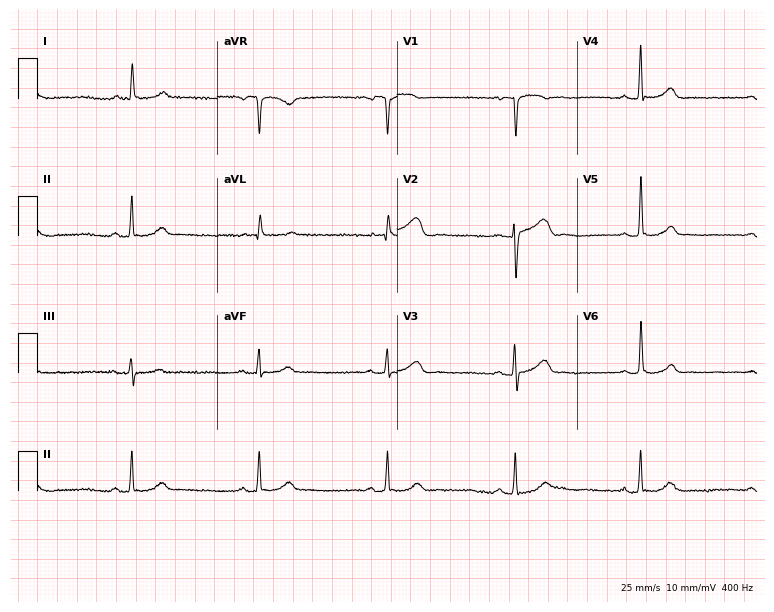
12-lead ECG from a man, 87 years old. Screened for six findings — first-degree AV block, right bundle branch block, left bundle branch block, sinus bradycardia, atrial fibrillation, sinus tachycardia — none is recorded.